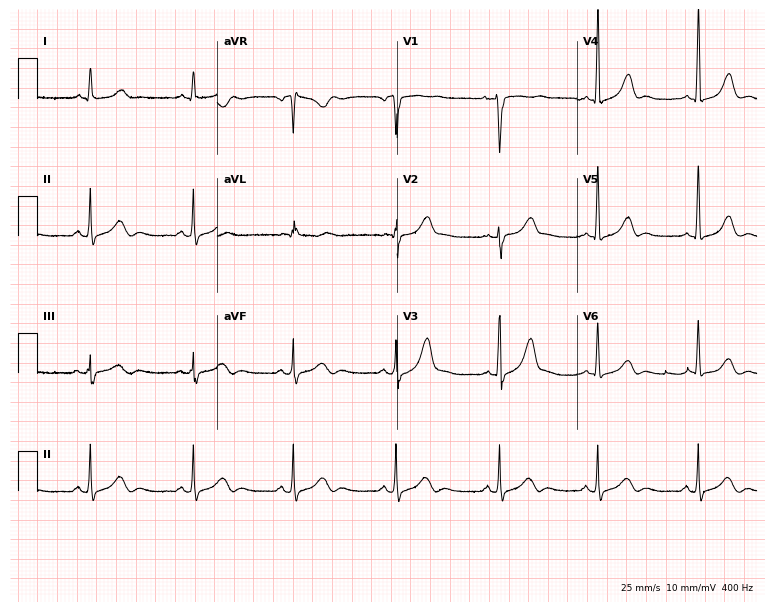
12-lead ECG from a 32-year-old female patient (7.3-second recording at 400 Hz). No first-degree AV block, right bundle branch block, left bundle branch block, sinus bradycardia, atrial fibrillation or sinus tachycardia recorded for this tracing. Findings outside these six are not listed.